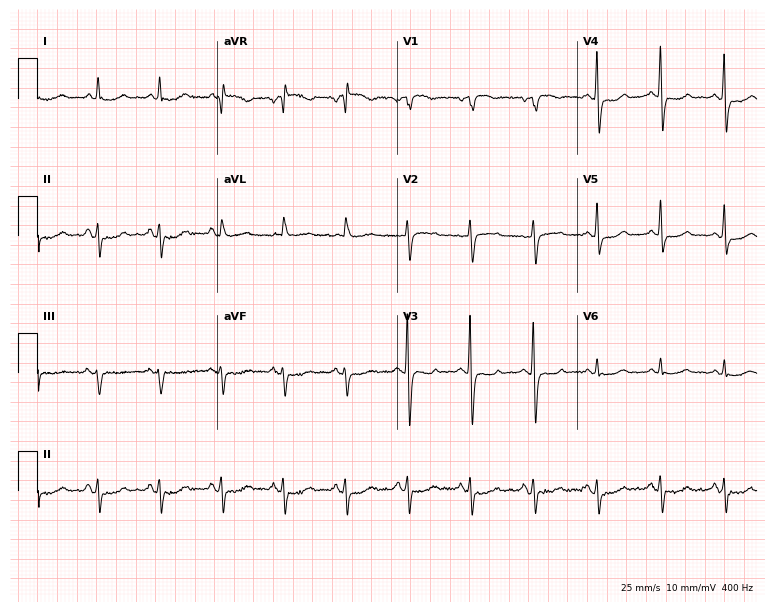
Electrocardiogram (7.3-second recording at 400 Hz), a female patient, 77 years old. Of the six screened findings (first-degree AV block, right bundle branch block, left bundle branch block, sinus bradycardia, atrial fibrillation, sinus tachycardia), none is recorded.